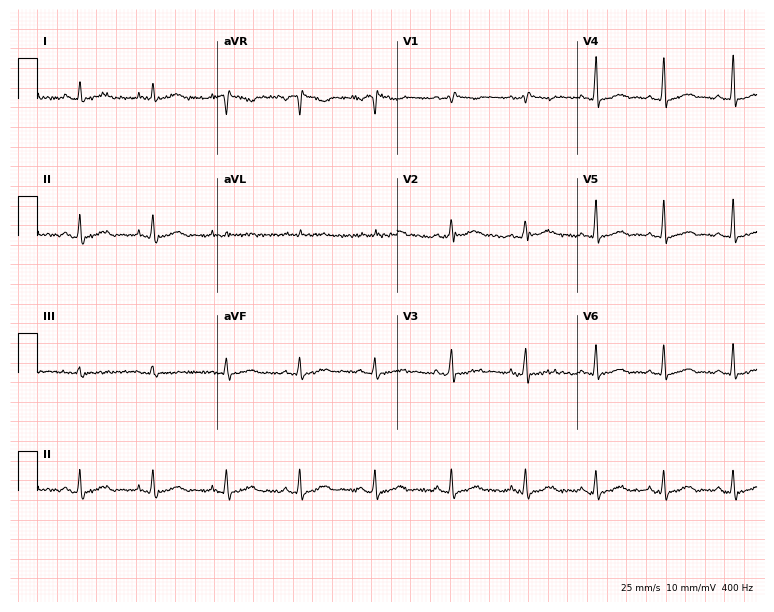
Standard 12-lead ECG recorded from a man, 51 years old. None of these six findings is recorded: first-degree AV block, right bundle branch block (RBBB), left bundle branch block (LBBB), sinus bradycardia, atrial fibrillation (AF), sinus tachycardia.